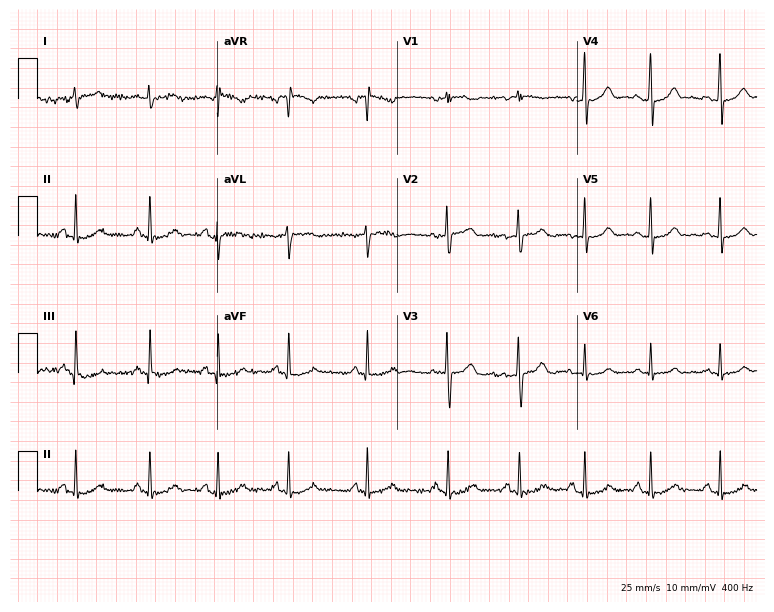
Electrocardiogram, a 19-year-old woman. Of the six screened findings (first-degree AV block, right bundle branch block (RBBB), left bundle branch block (LBBB), sinus bradycardia, atrial fibrillation (AF), sinus tachycardia), none is recorded. Other findings, if any, are not listed.